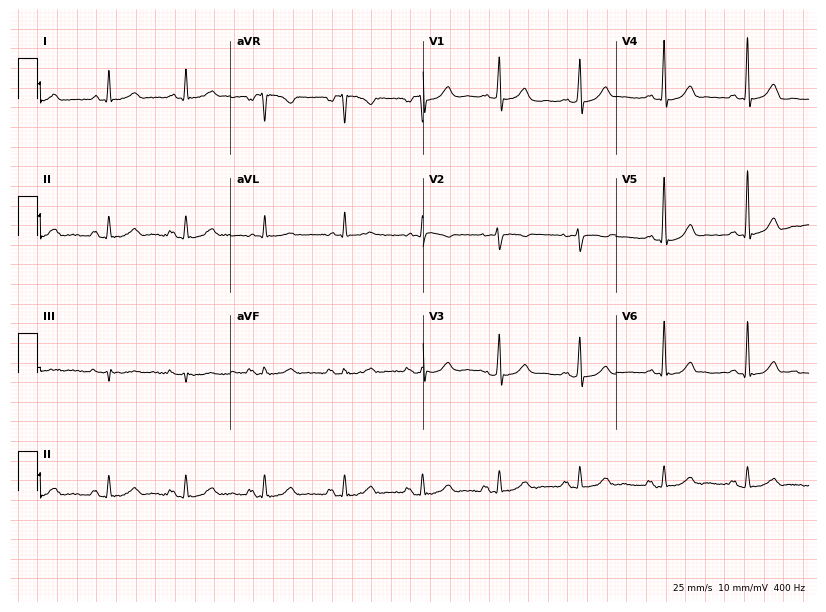
12-lead ECG from a female patient, 43 years old. No first-degree AV block, right bundle branch block, left bundle branch block, sinus bradycardia, atrial fibrillation or sinus tachycardia recorded for this tracing.